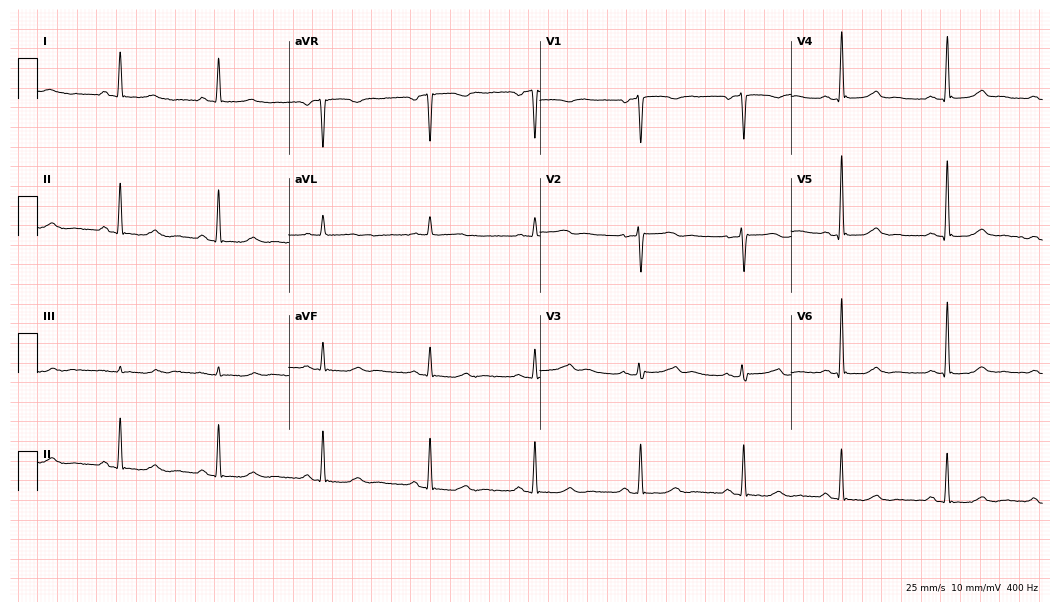
12-lead ECG from a woman, 47 years old (10.2-second recording at 400 Hz). No first-degree AV block, right bundle branch block, left bundle branch block, sinus bradycardia, atrial fibrillation or sinus tachycardia recorded for this tracing. Findings outside these six are not listed.